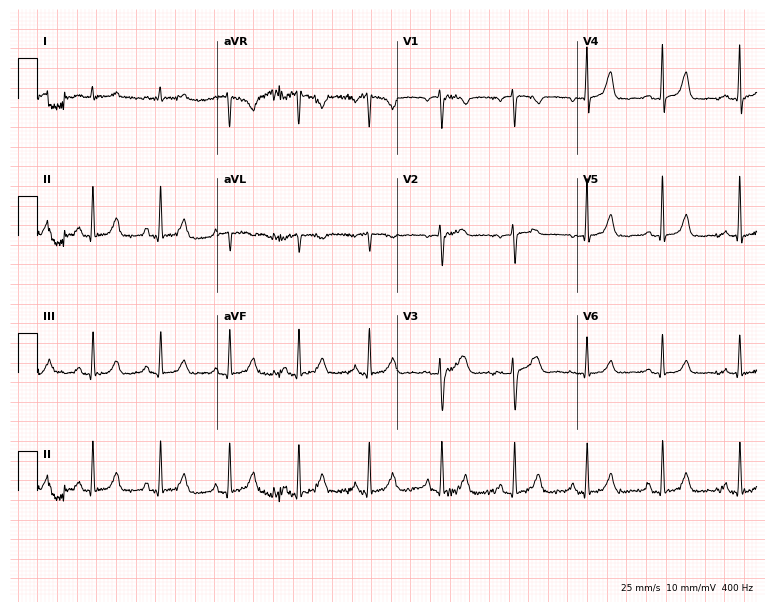
12-lead ECG from a female, 46 years old (7.3-second recording at 400 Hz). Recorded interpretation: within normal limits.